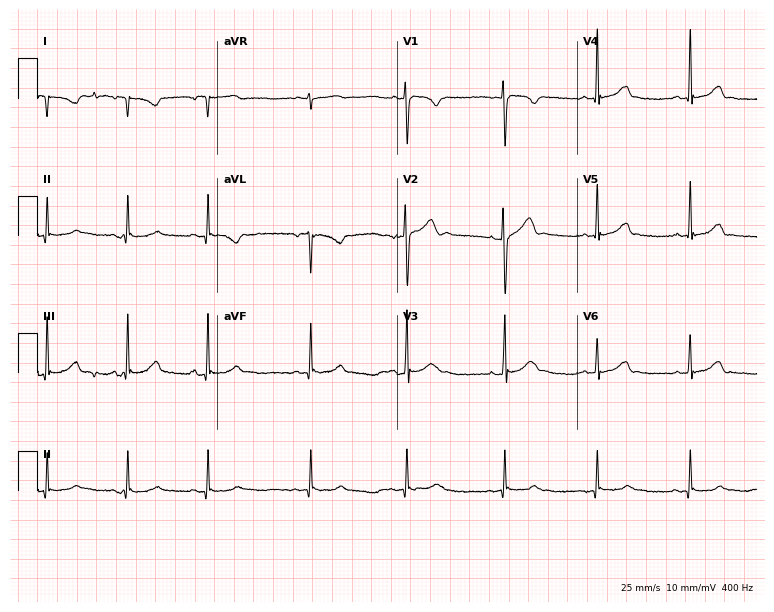
ECG — a woman, 20 years old. Screened for six findings — first-degree AV block, right bundle branch block (RBBB), left bundle branch block (LBBB), sinus bradycardia, atrial fibrillation (AF), sinus tachycardia — none is recorded. Findings outside these six are not listed.